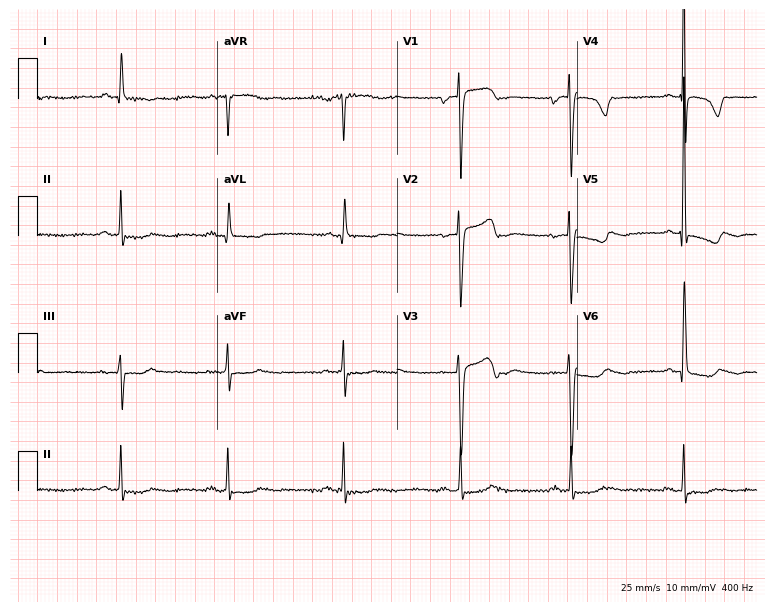
Standard 12-lead ECG recorded from a female, 74 years old (7.3-second recording at 400 Hz). None of these six findings is recorded: first-degree AV block, right bundle branch block, left bundle branch block, sinus bradycardia, atrial fibrillation, sinus tachycardia.